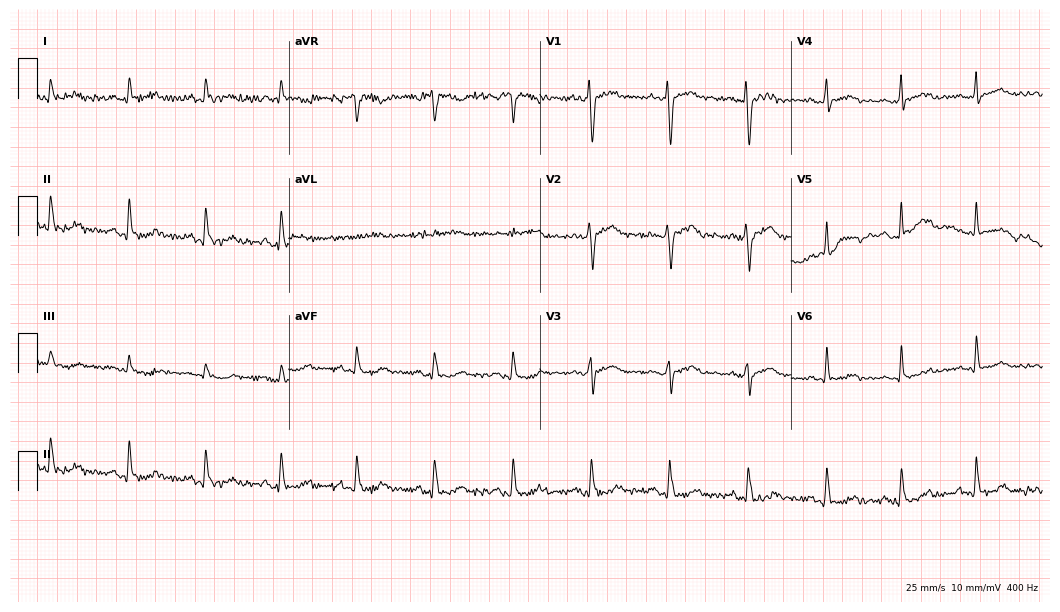
12-lead ECG from a 29-year-old male patient (10.2-second recording at 400 Hz). Recorded interpretation: within normal limits.